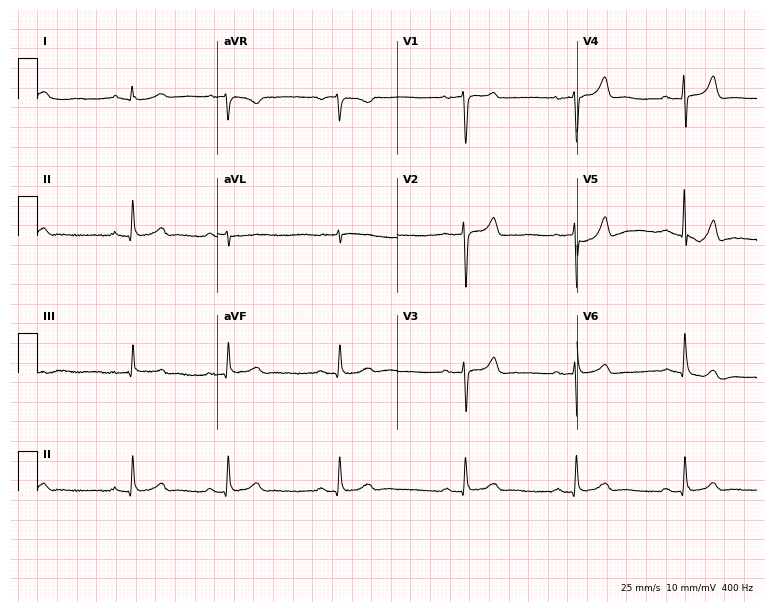
Standard 12-lead ECG recorded from a male, 50 years old. Read as a normal ECG.